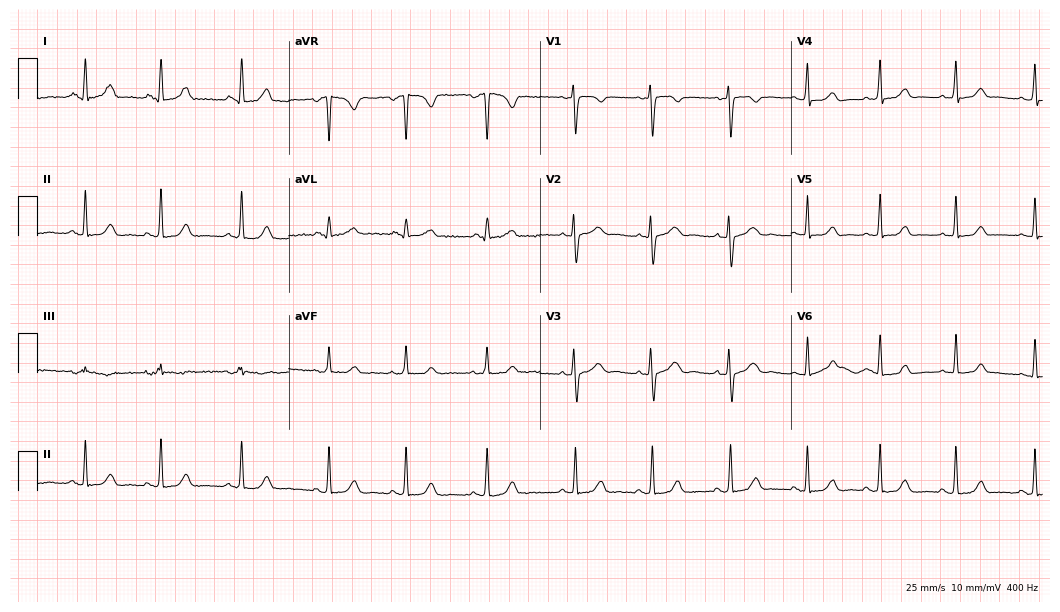
Electrocardiogram, a woman, 18 years old. Overall reading on record: normal ECG.